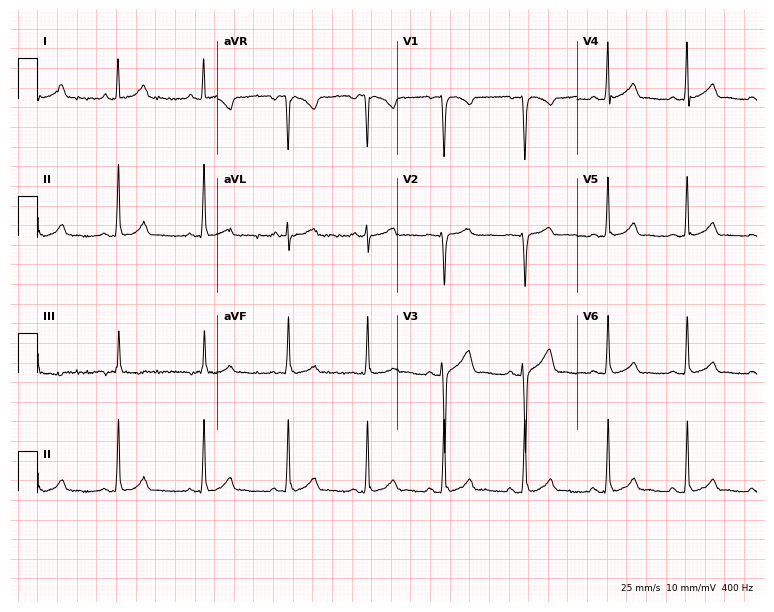
Standard 12-lead ECG recorded from a woman, 17 years old. Read as a normal ECG.